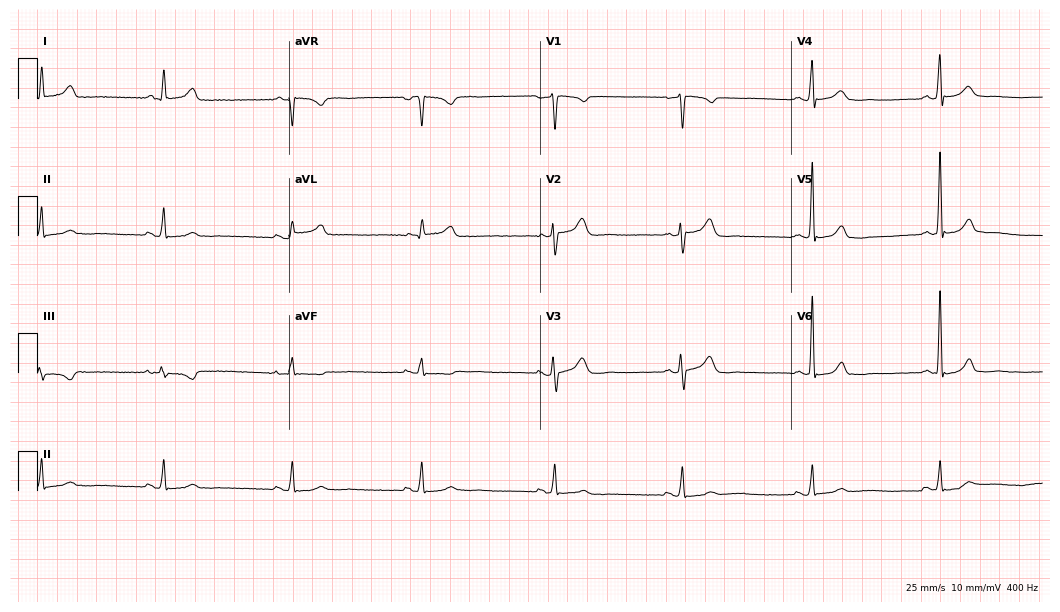
12-lead ECG from a 52-year-old female patient. Shows sinus bradycardia (a sinus rate of 50 beats per minute or less).